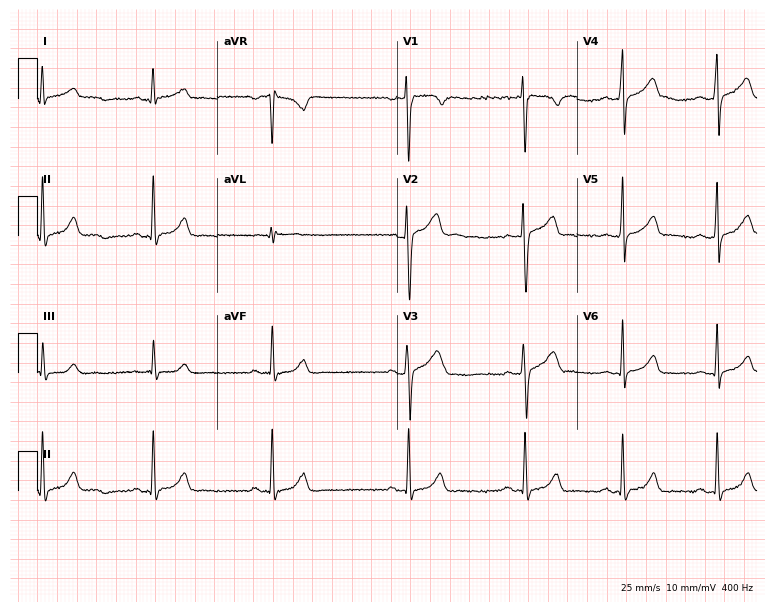
Electrocardiogram (7.3-second recording at 400 Hz), an 18-year-old man. Overall reading on record: normal ECG.